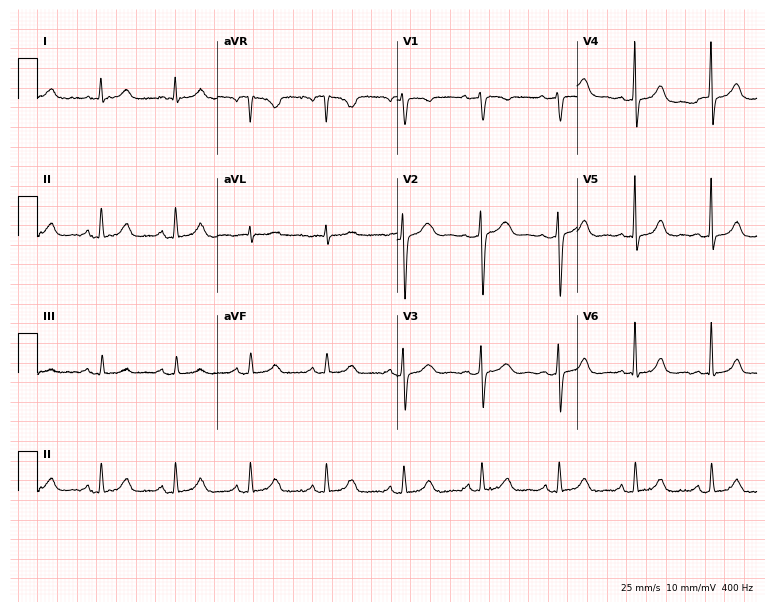
ECG — a 57-year-old female. Labelled as a normal ECG.